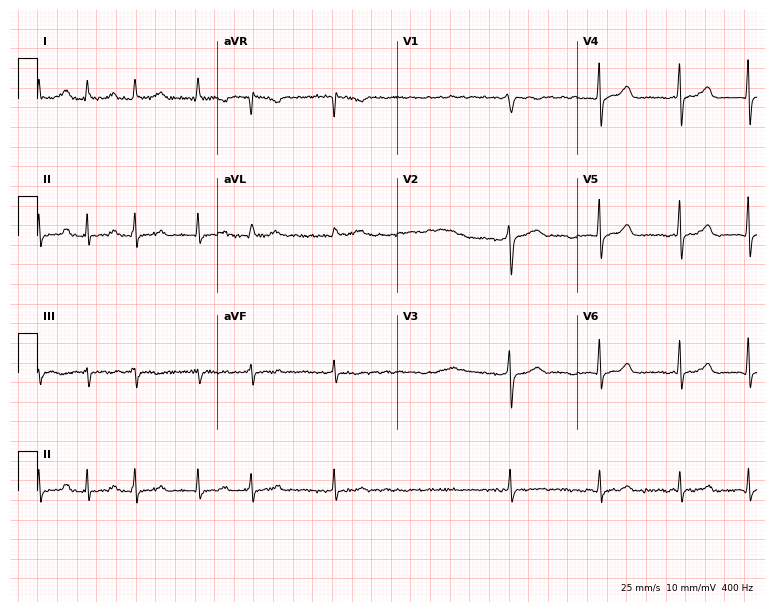
Resting 12-lead electrocardiogram (7.3-second recording at 400 Hz). Patient: a male, 54 years old. The tracing shows atrial fibrillation (AF).